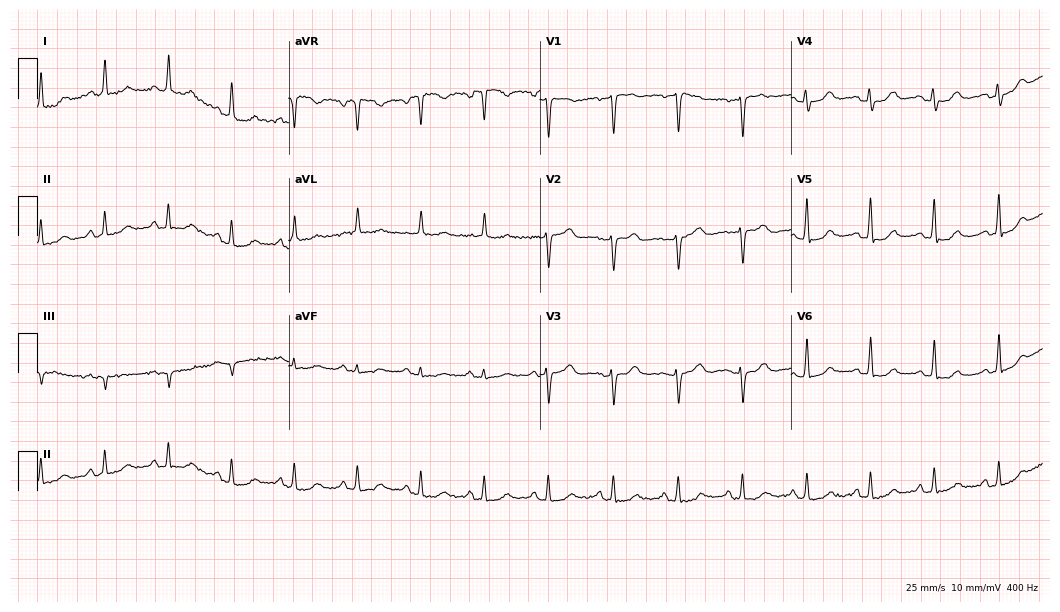
Standard 12-lead ECG recorded from a female patient, 68 years old. Read as a normal ECG.